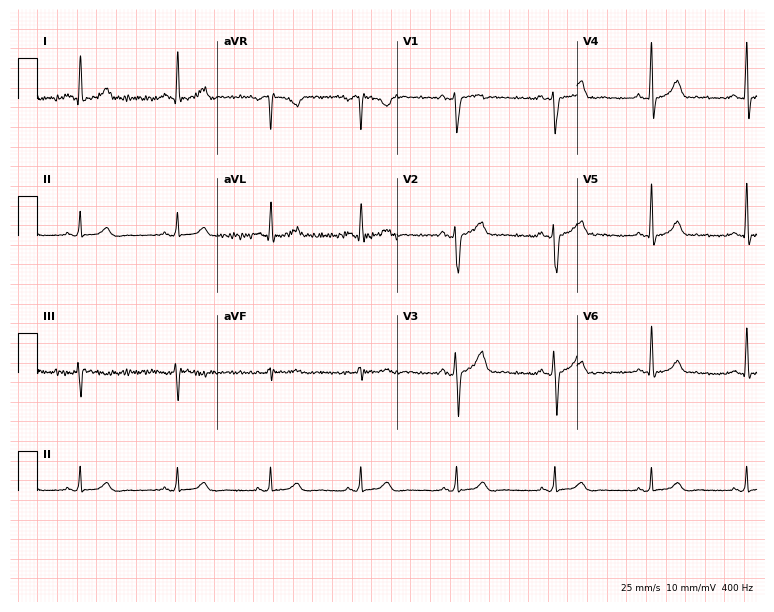
Standard 12-lead ECG recorded from a 31-year-old man (7.3-second recording at 400 Hz). Read as a normal ECG.